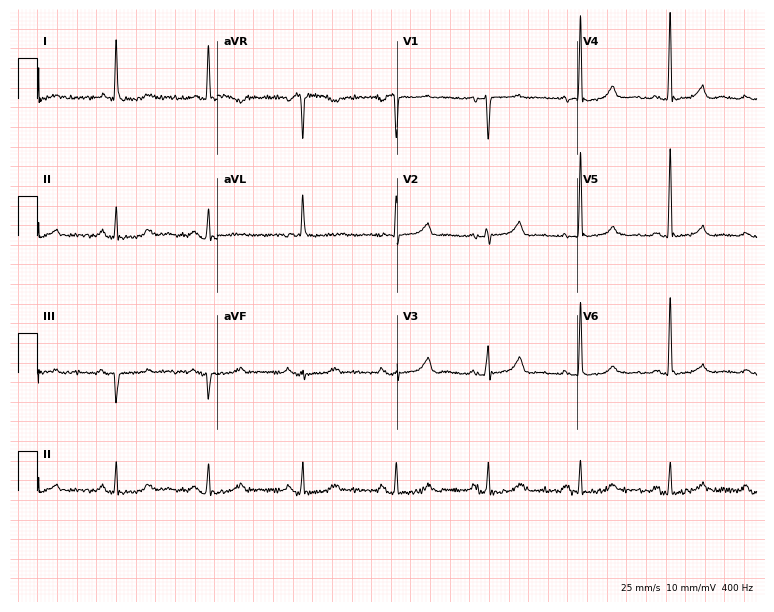
ECG (7.3-second recording at 400 Hz) — a 67-year-old woman. Screened for six findings — first-degree AV block, right bundle branch block, left bundle branch block, sinus bradycardia, atrial fibrillation, sinus tachycardia — none is recorded.